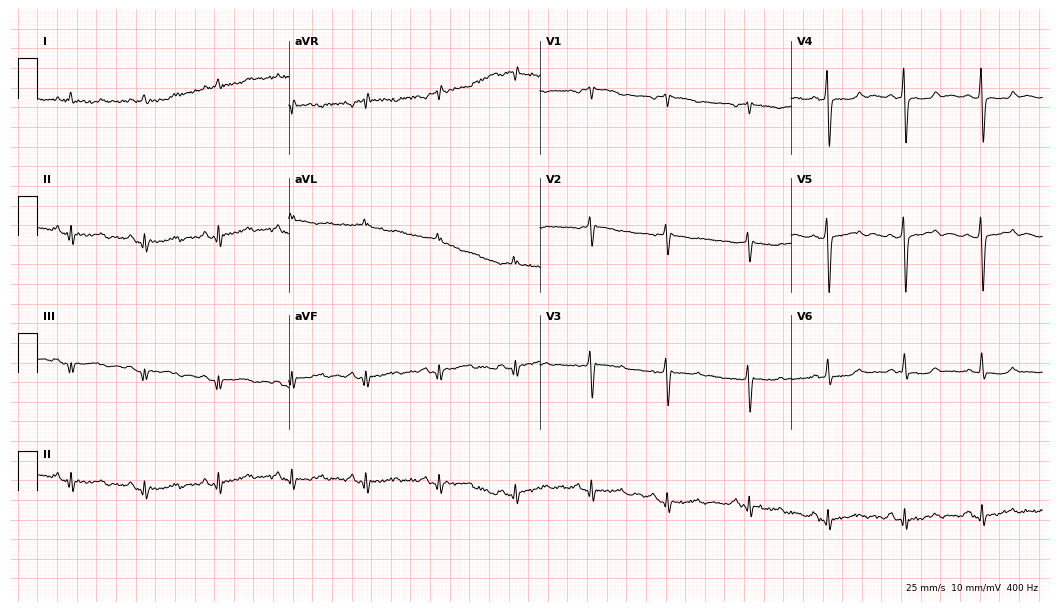
12-lead ECG from an 80-year-old female patient. No first-degree AV block, right bundle branch block, left bundle branch block, sinus bradycardia, atrial fibrillation or sinus tachycardia recorded for this tracing.